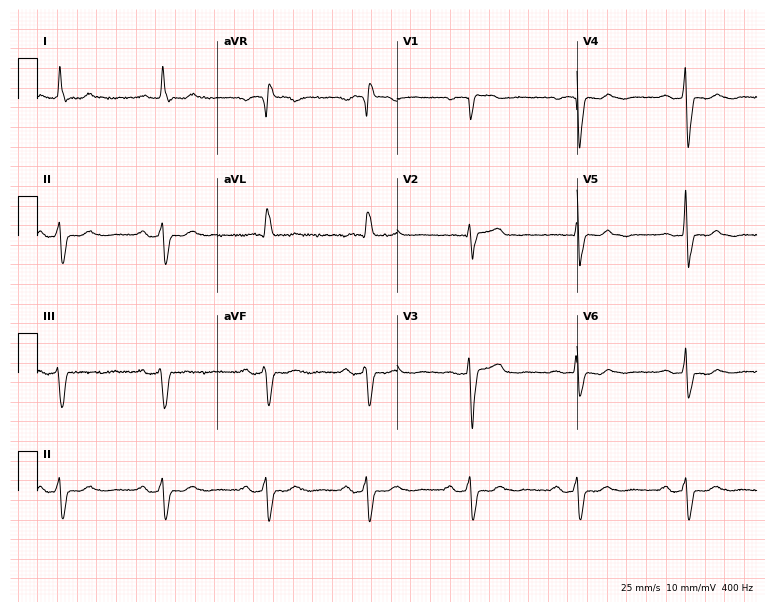
Standard 12-lead ECG recorded from a 63-year-old woman (7.3-second recording at 400 Hz). The tracing shows first-degree AV block.